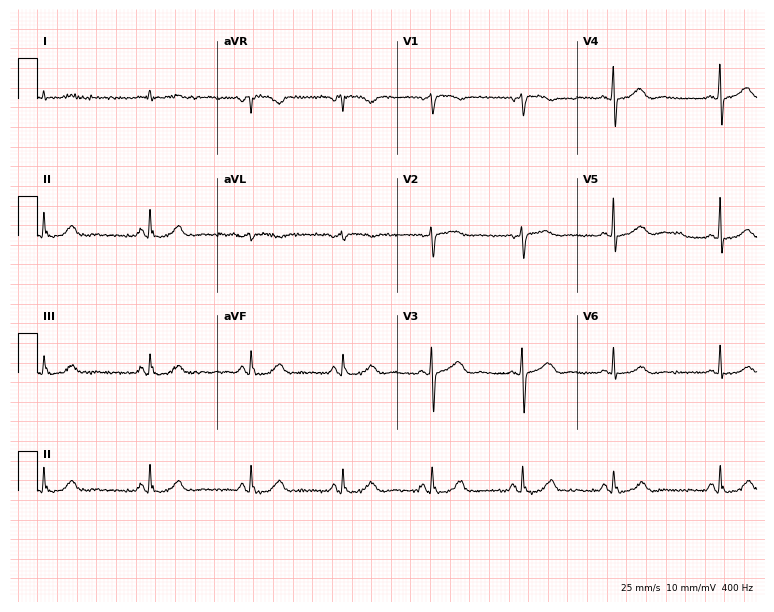
12-lead ECG (7.3-second recording at 400 Hz) from a female, 54 years old. Labelled as a normal ECG.